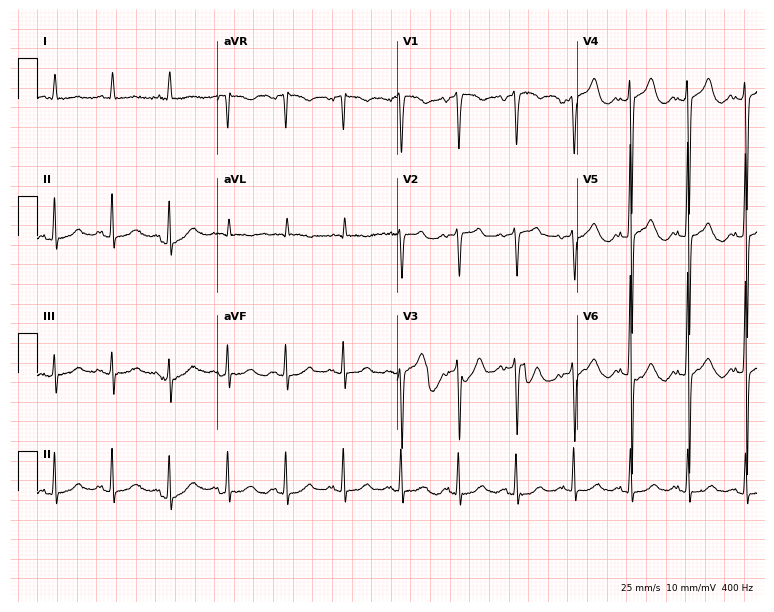
Resting 12-lead electrocardiogram. Patient: an 81-year-old male. The tracing shows sinus tachycardia (a sinus rate of 100 beats per minute or more).